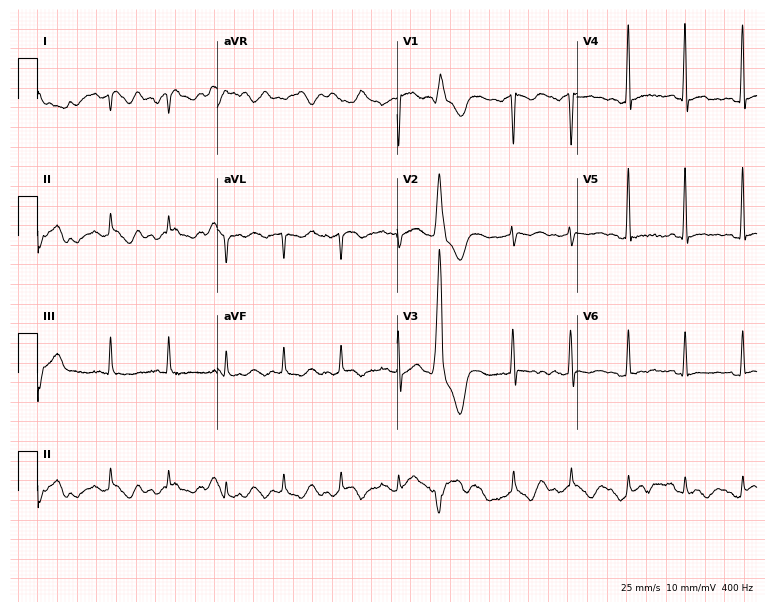
ECG (7.3-second recording at 400 Hz) — a woman, 54 years old. Screened for six findings — first-degree AV block, right bundle branch block, left bundle branch block, sinus bradycardia, atrial fibrillation, sinus tachycardia — none is recorded. Other findings, if any, are not listed.